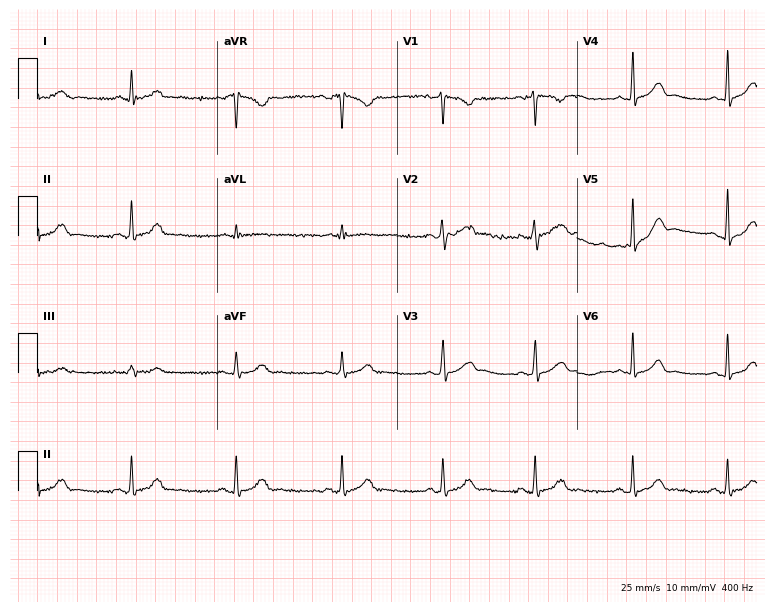
Resting 12-lead electrocardiogram. Patient: a female, 22 years old. Read as a normal ECG.